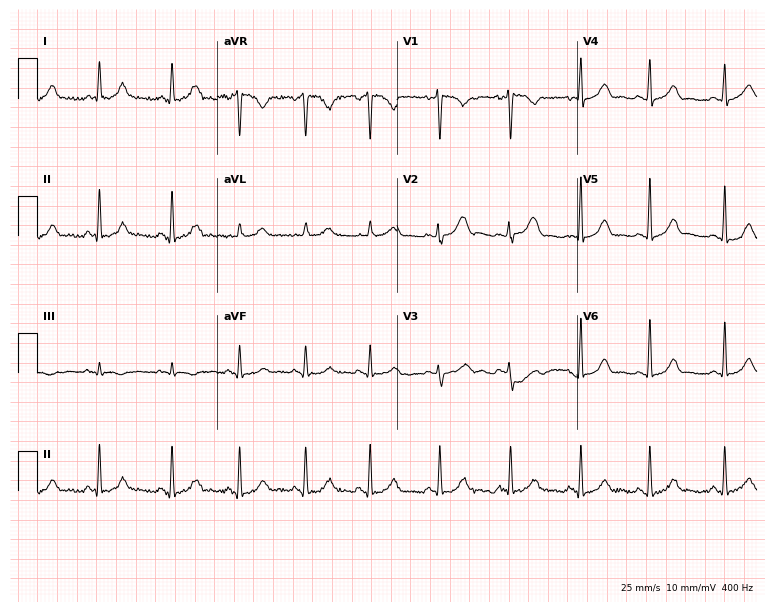
12-lead ECG from a 42-year-old female (7.3-second recording at 400 Hz). Recorded interpretation: within normal limits.